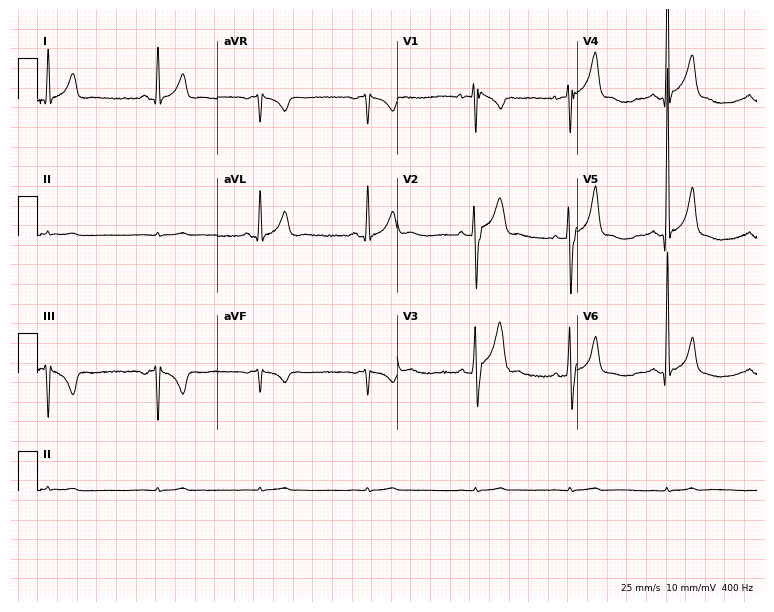
ECG (7.3-second recording at 400 Hz) — a 17-year-old male patient. Screened for six findings — first-degree AV block, right bundle branch block (RBBB), left bundle branch block (LBBB), sinus bradycardia, atrial fibrillation (AF), sinus tachycardia — none is recorded.